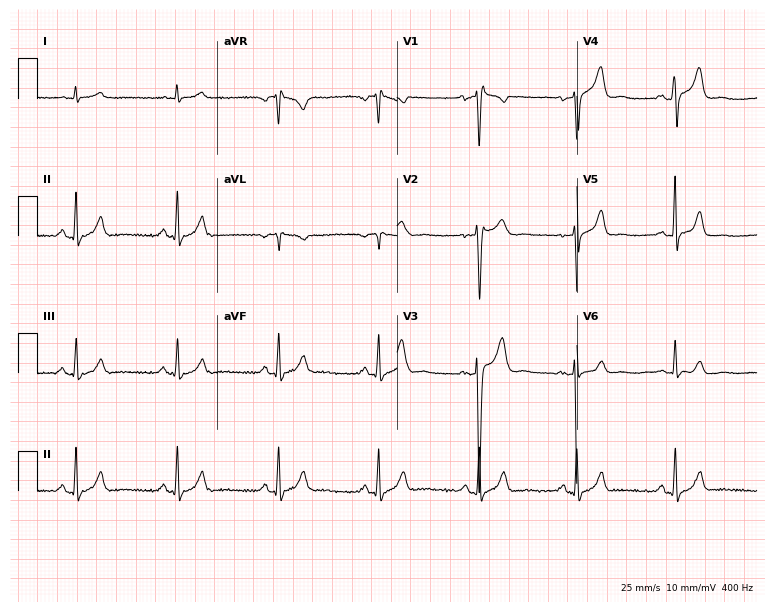
Resting 12-lead electrocardiogram (7.3-second recording at 400 Hz). Patient: a 34-year-old man. Read as a normal ECG.